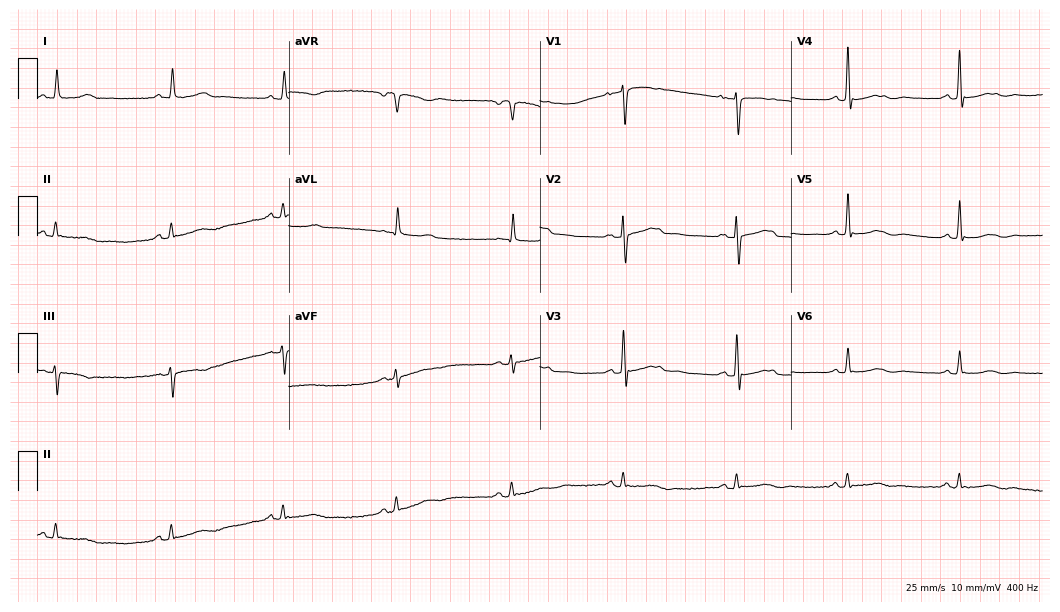
12-lead ECG from a 68-year-old woman (10.2-second recording at 400 Hz). Recorded interpretation: within normal limits.